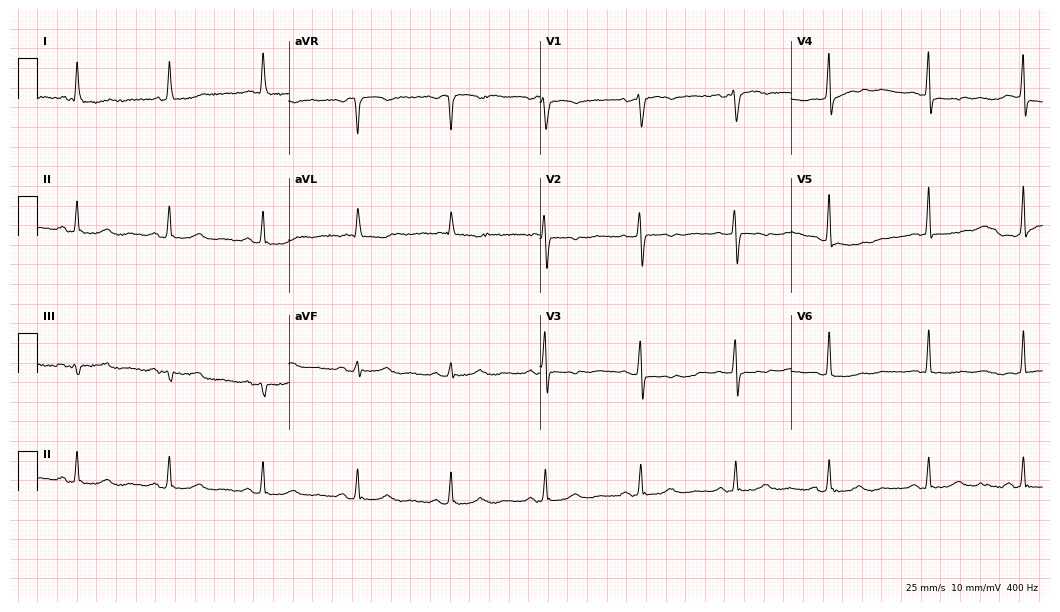
12-lead ECG from a female patient, 84 years old. Screened for six findings — first-degree AV block, right bundle branch block (RBBB), left bundle branch block (LBBB), sinus bradycardia, atrial fibrillation (AF), sinus tachycardia — none is recorded.